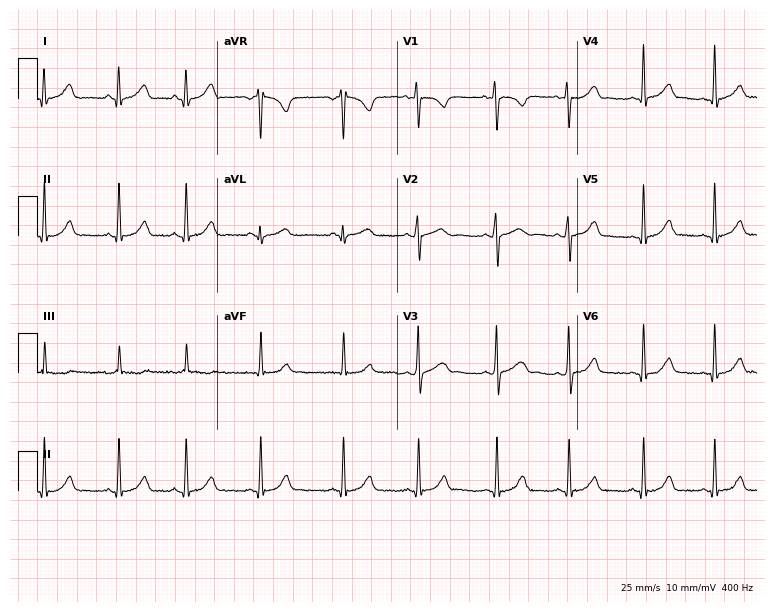
Standard 12-lead ECG recorded from an 18-year-old female. Read as a normal ECG.